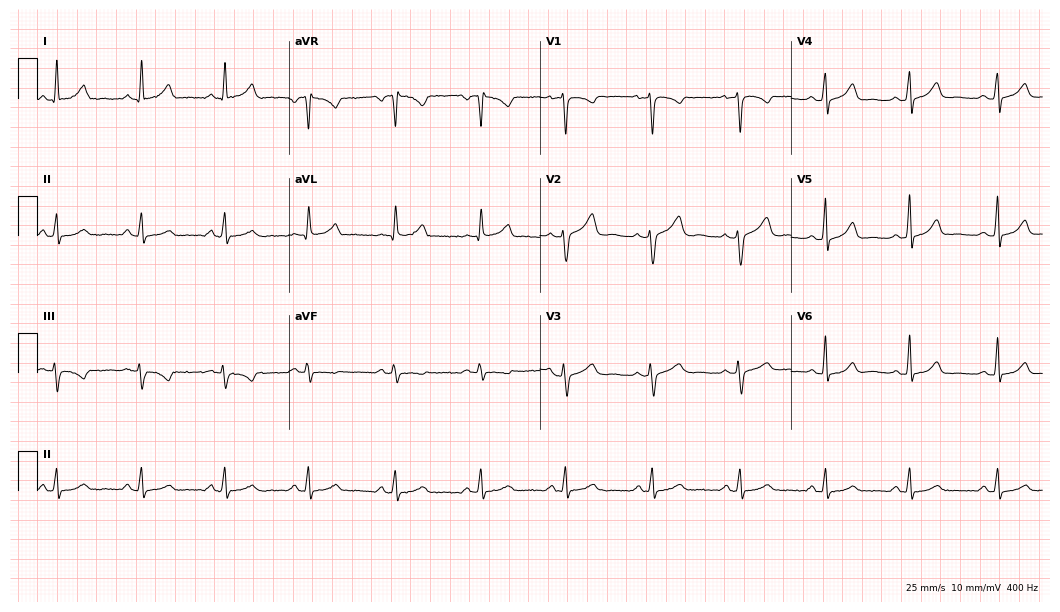
Standard 12-lead ECG recorded from a woman, 40 years old (10.2-second recording at 400 Hz). Read as a normal ECG.